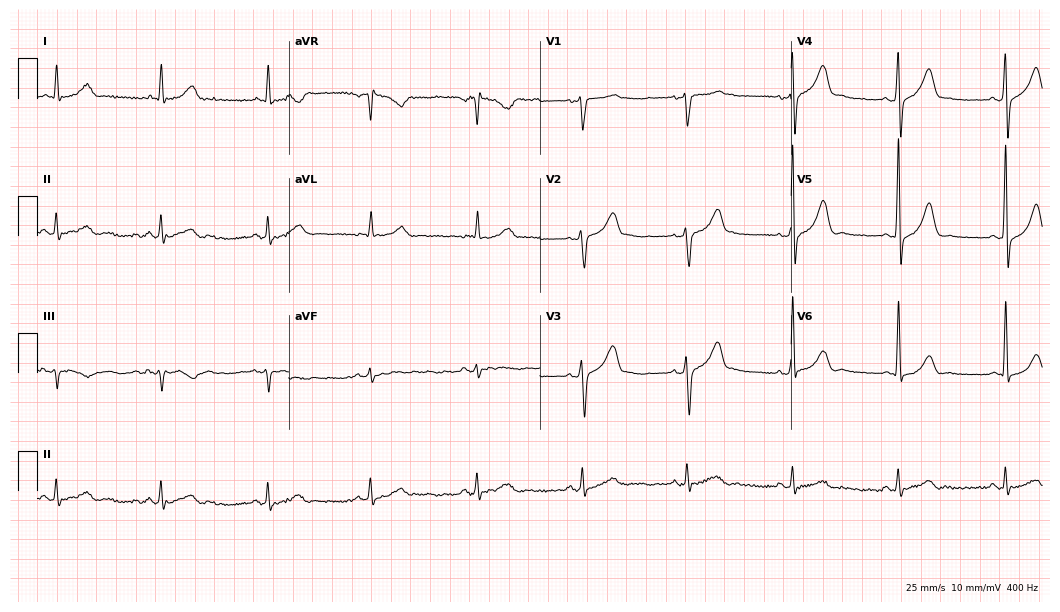
Standard 12-lead ECG recorded from a male, 68 years old. Read as a normal ECG.